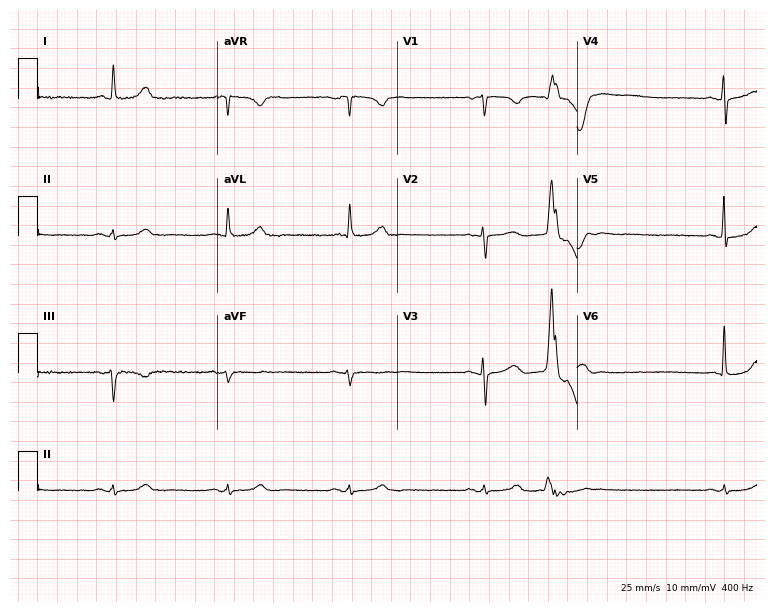
Standard 12-lead ECG recorded from a 74-year-old woman (7.3-second recording at 400 Hz). The tracing shows sinus bradycardia (a sinus rate of 50 beats per minute or less).